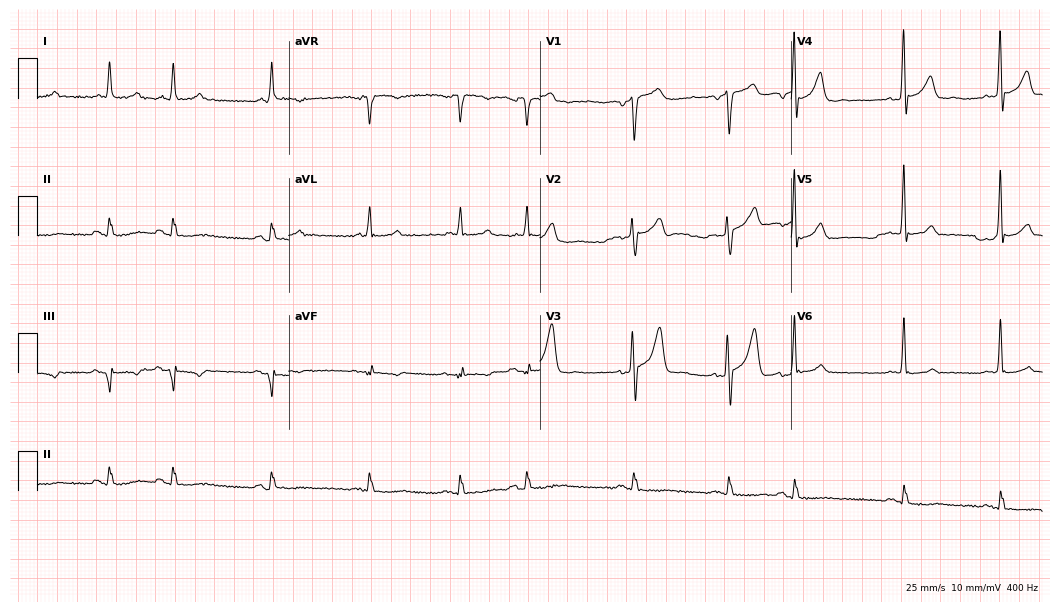
Electrocardiogram, a 67-year-old male patient. Overall reading on record: normal ECG.